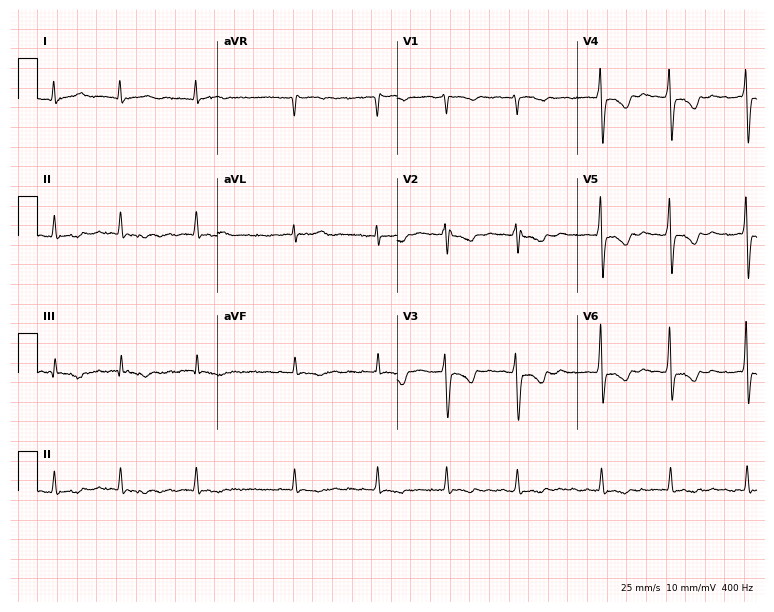
Resting 12-lead electrocardiogram. Patient: a female, 67 years old. The tracing shows atrial fibrillation.